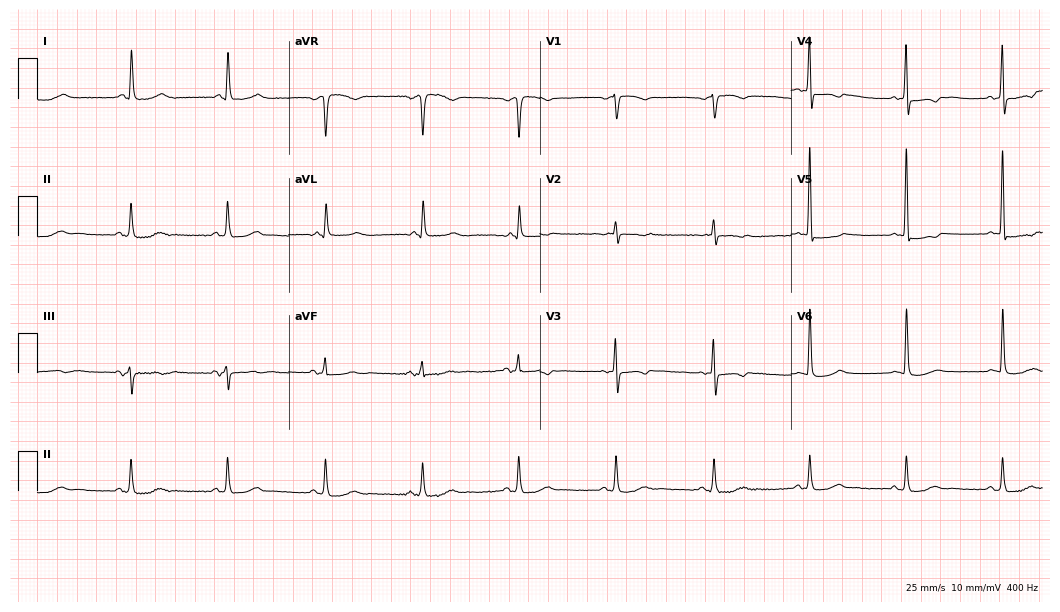
Electrocardiogram (10.2-second recording at 400 Hz), a female patient, 85 years old. Of the six screened findings (first-degree AV block, right bundle branch block, left bundle branch block, sinus bradycardia, atrial fibrillation, sinus tachycardia), none is recorded.